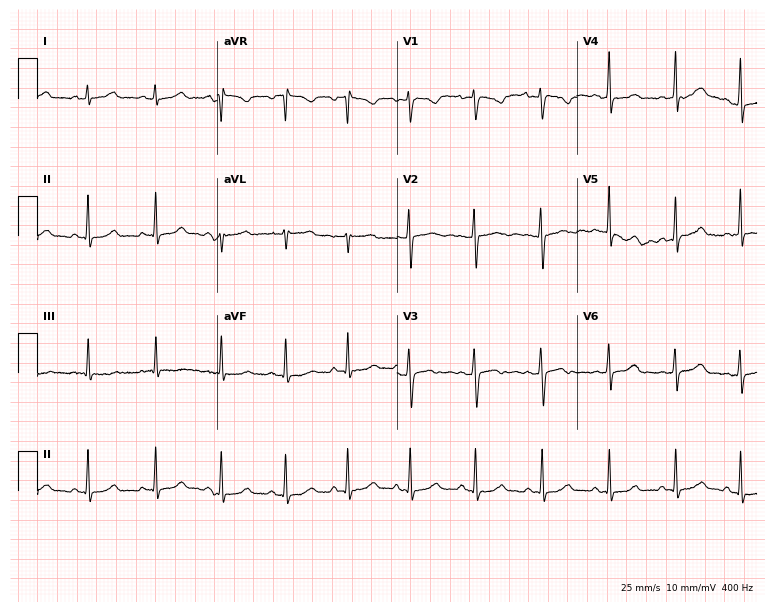
Resting 12-lead electrocardiogram (7.3-second recording at 400 Hz). Patient: a 19-year-old female. Read as a normal ECG.